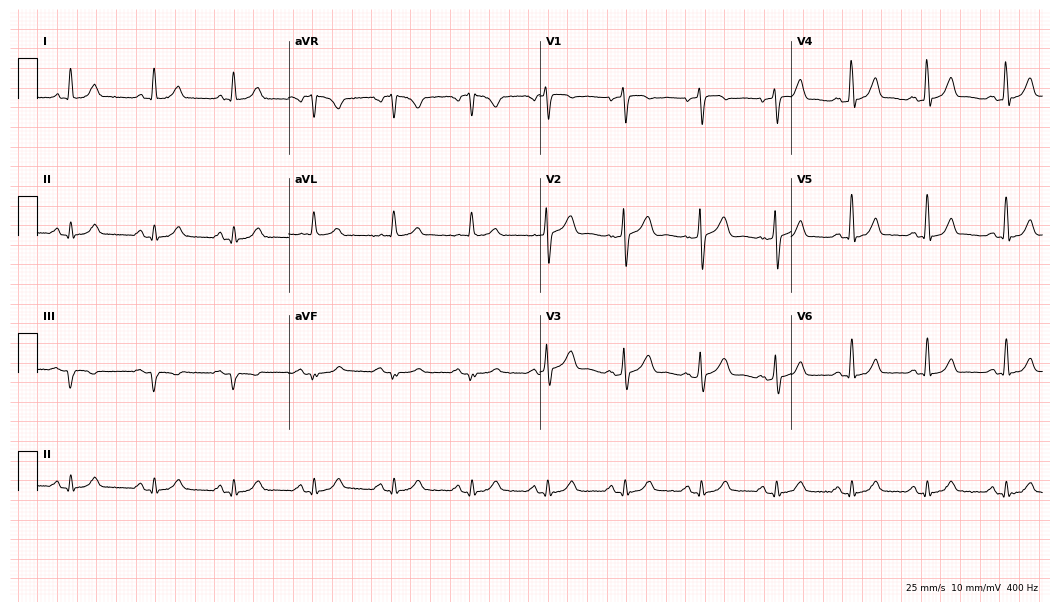
Resting 12-lead electrocardiogram (10.2-second recording at 400 Hz). Patient: a 54-year-old male. Read as a normal ECG.